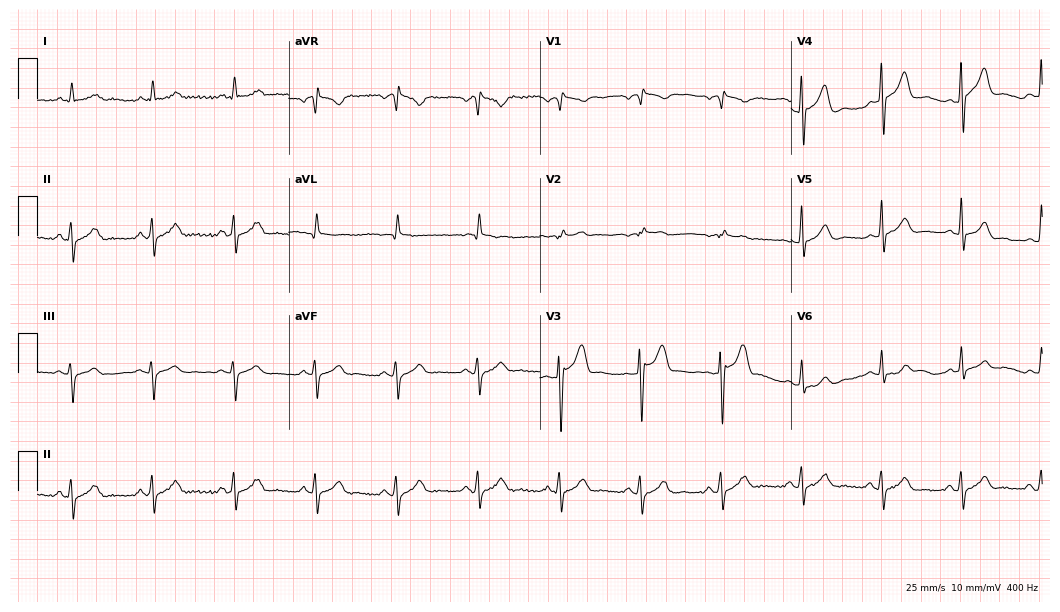
Resting 12-lead electrocardiogram (10.2-second recording at 400 Hz). Patient: an 81-year-old man. Read as a normal ECG.